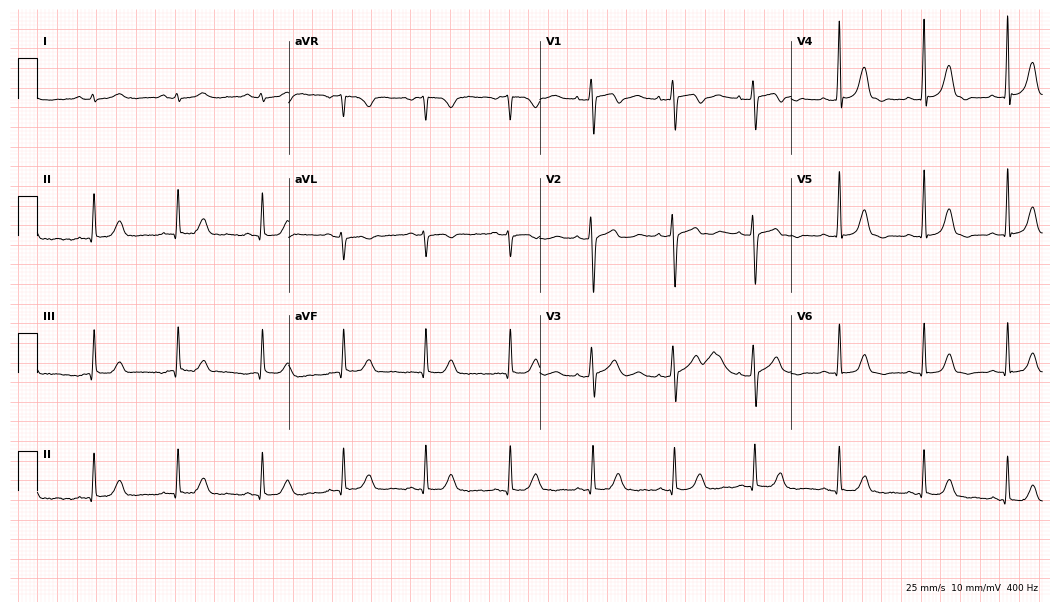
Standard 12-lead ECG recorded from a 27-year-old female patient (10.2-second recording at 400 Hz). Read as a normal ECG.